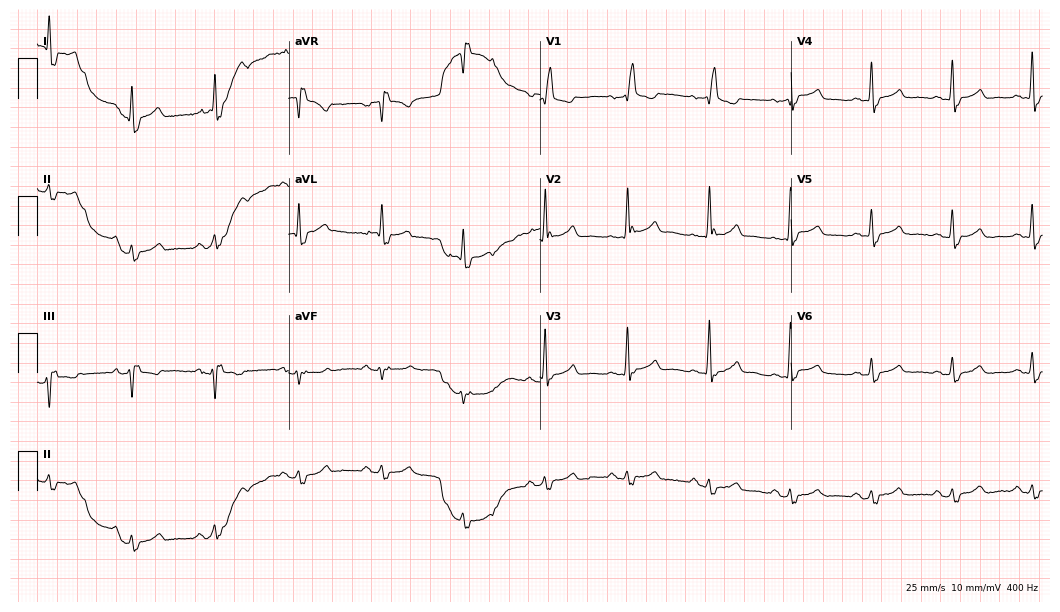
Resting 12-lead electrocardiogram. Patient: a male, 85 years old. The tracing shows right bundle branch block.